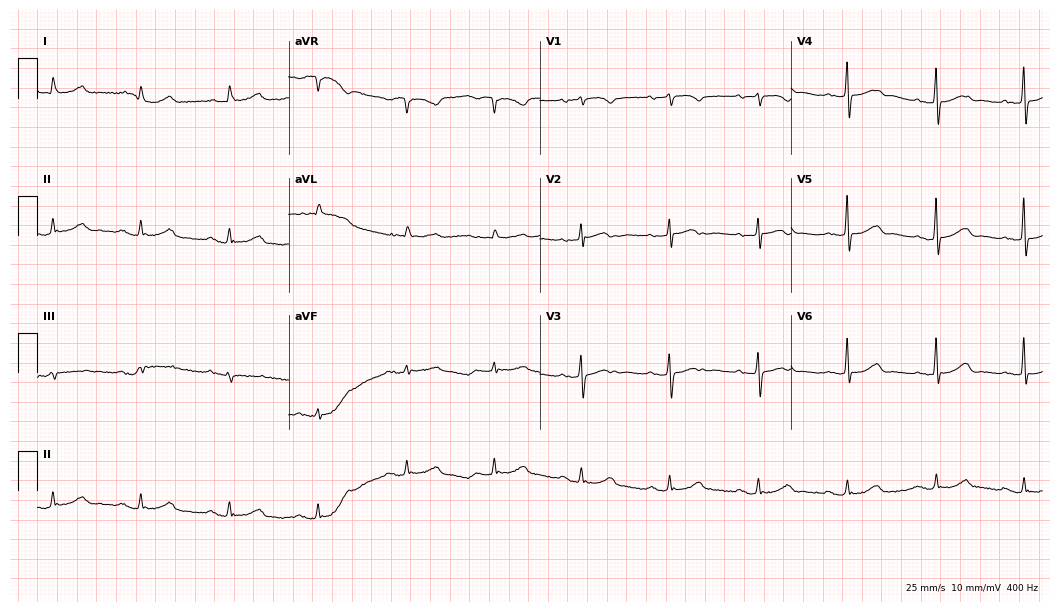
Standard 12-lead ECG recorded from a female patient, 80 years old. Read as a normal ECG.